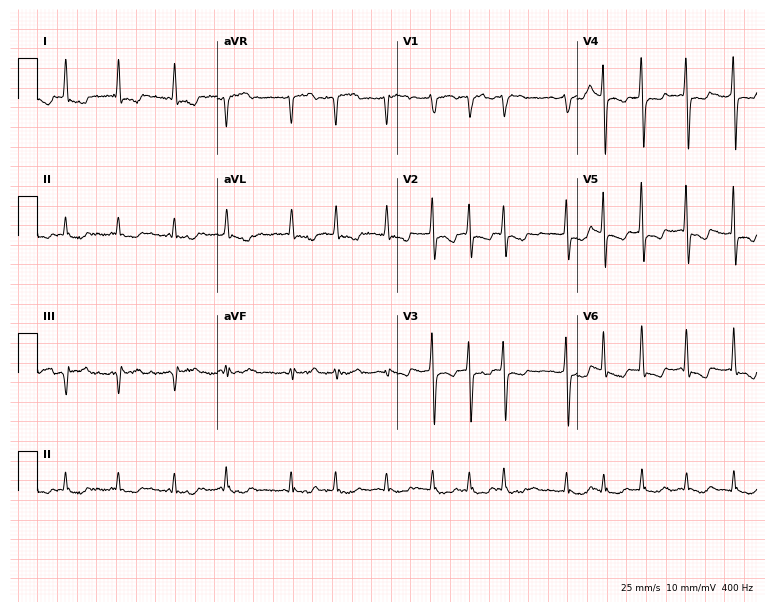
Electrocardiogram, an 84-year-old female. Interpretation includes atrial fibrillation (AF).